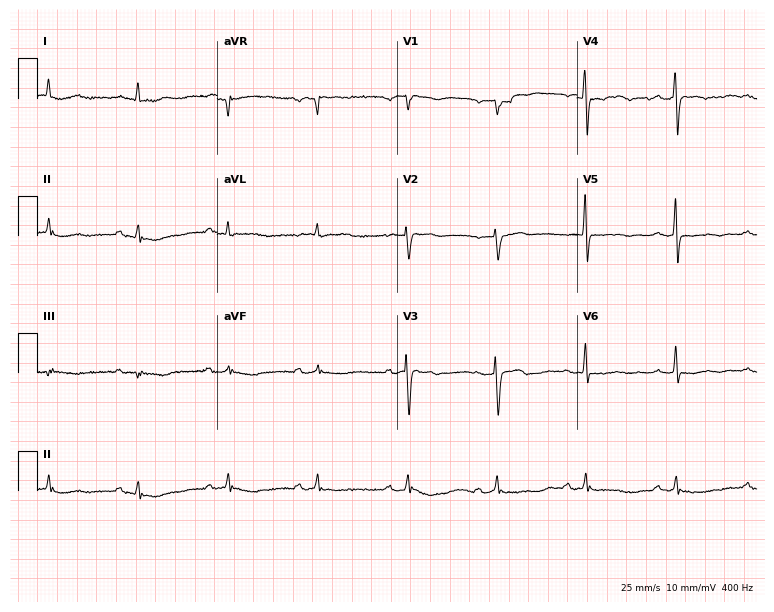
12-lead ECG from a 77-year-old female patient (7.3-second recording at 400 Hz). No first-degree AV block, right bundle branch block, left bundle branch block, sinus bradycardia, atrial fibrillation or sinus tachycardia recorded for this tracing. Other findings, if any, are not listed.